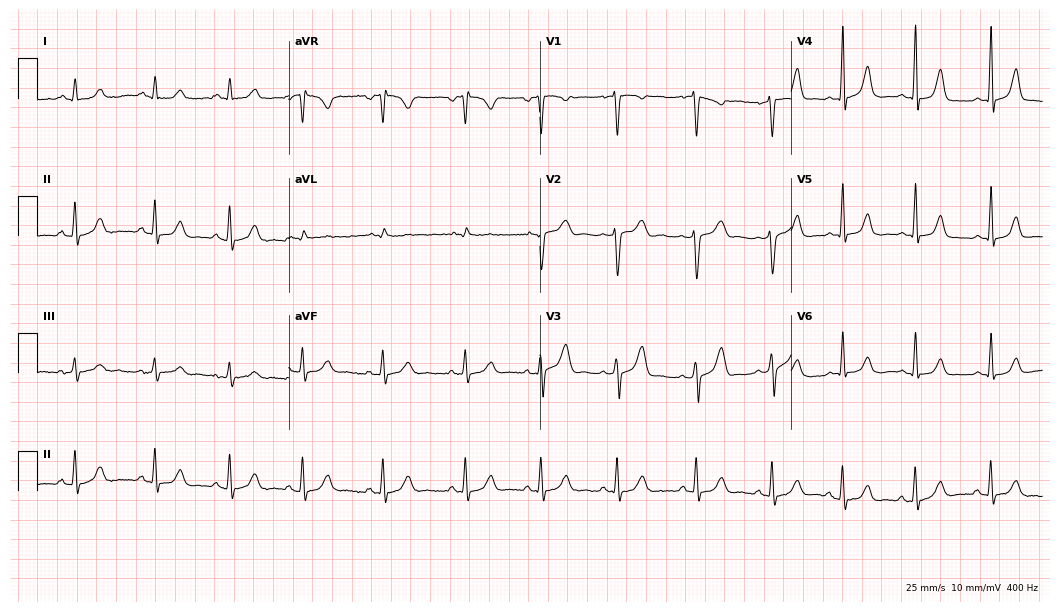
ECG — a woman, 29 years old. Labelled as a normal ECG.